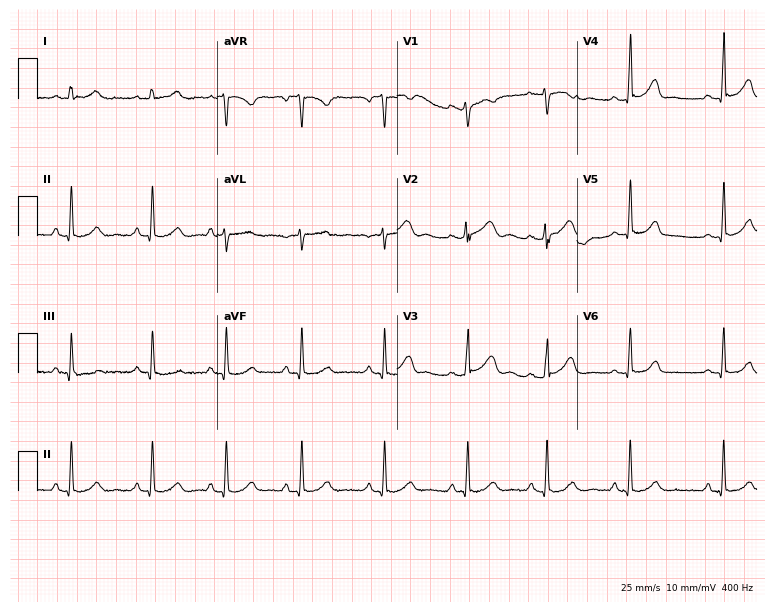
Electrocardiogram, a female, 28 years old. Of the six screened findings (first-degree AV block, right bundle branch block (RBBB), left bundle branch block (LBBB), sinus bradycardia, atrial fibrillation (AF), sinus tachycardia), none is recorded.